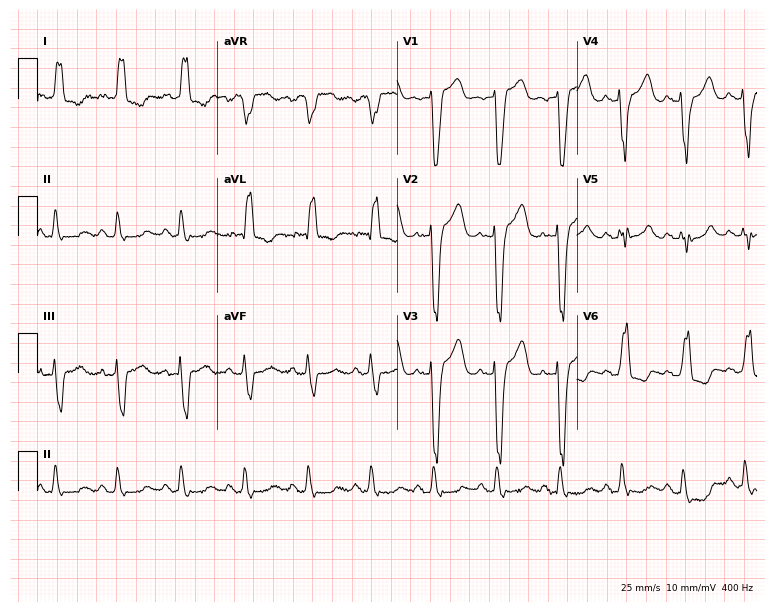
12-lead ECG from an 81-year-old woman (7.3-second recording at 400 Hz). Shows left bundle branch block.